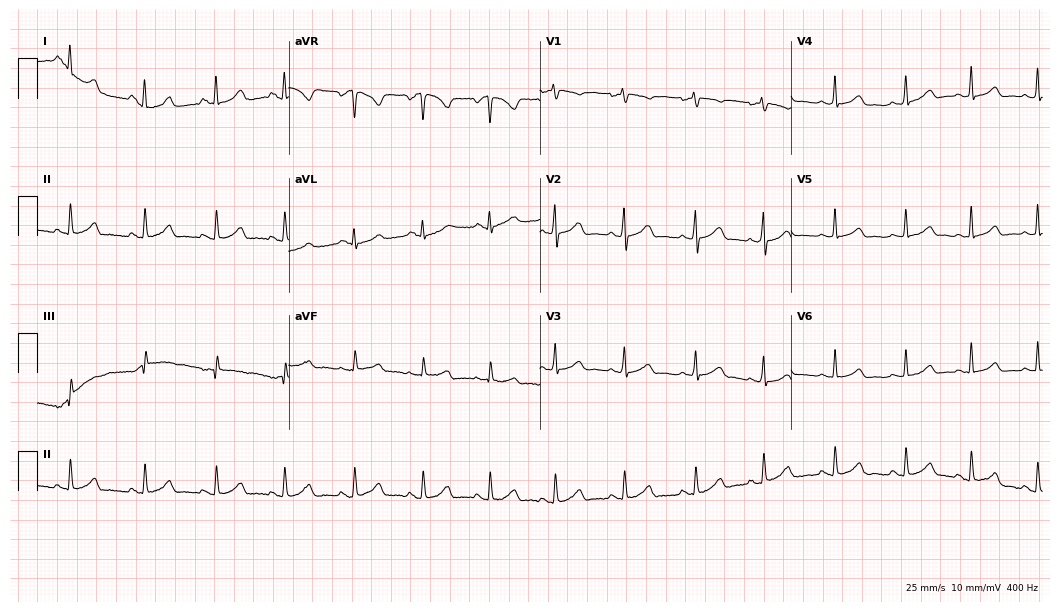
12-lead ECG from a 23-year-old female patient. Labelled as a normal ECG.